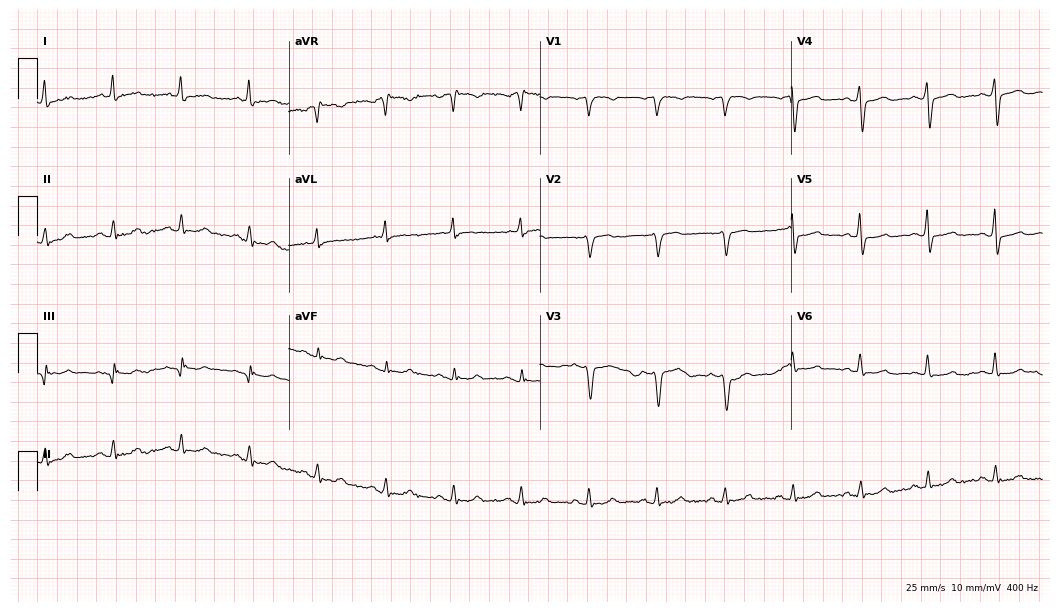
Resting 12-lead electrocardiogram. Patient: a male, 81 years old. None of these six findings is recorded: first-degree AV block, right bundle branch block, left bundle branch block, sinus bradycardia, atrial fibrillation, sinus tachycardia.